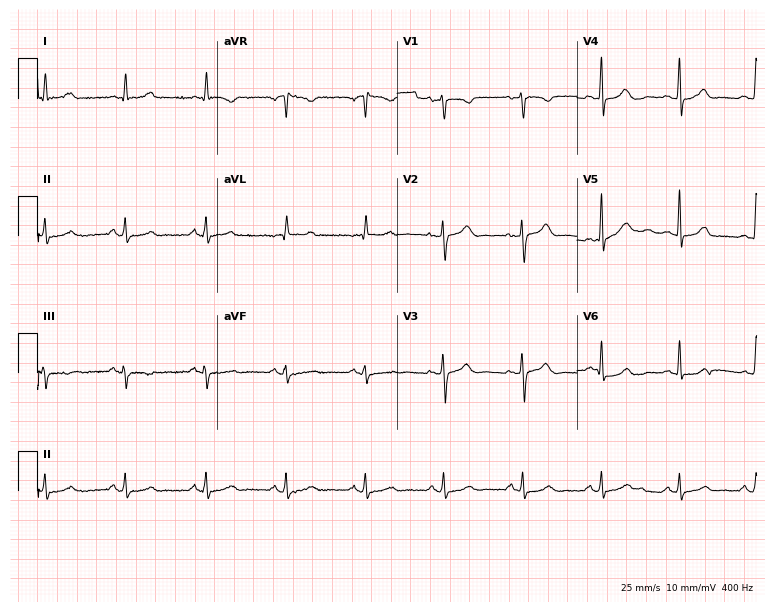
Resting 12-lead electrocardiogram (7.3-second recording at 400 Hz). Patient: a 56-year-old female. None of these six findings is recorded: first-degree AV block, right bundle branch block, left bundle branch block, sinus bradycardia, atrial fibrillation, sinus tachycardia.